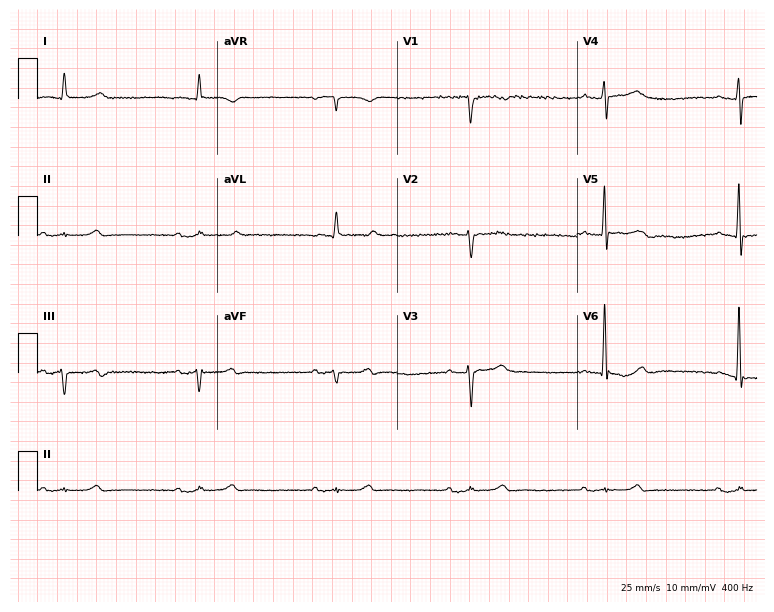
ECG — an 83-year-old male. Findings include sinus bradycardia (a sinus rate of 50 beats per minute or less).